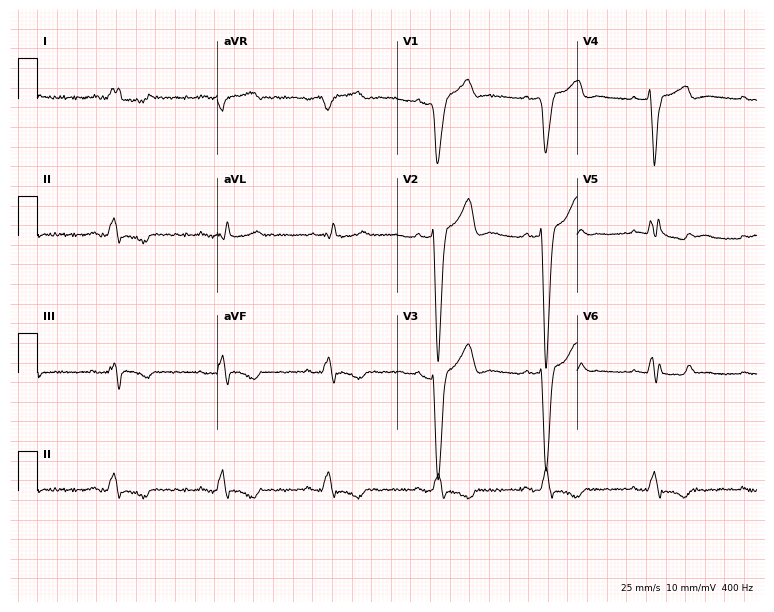
12-lead ECG from a 67-year-old man. Shows left bundle branch block.